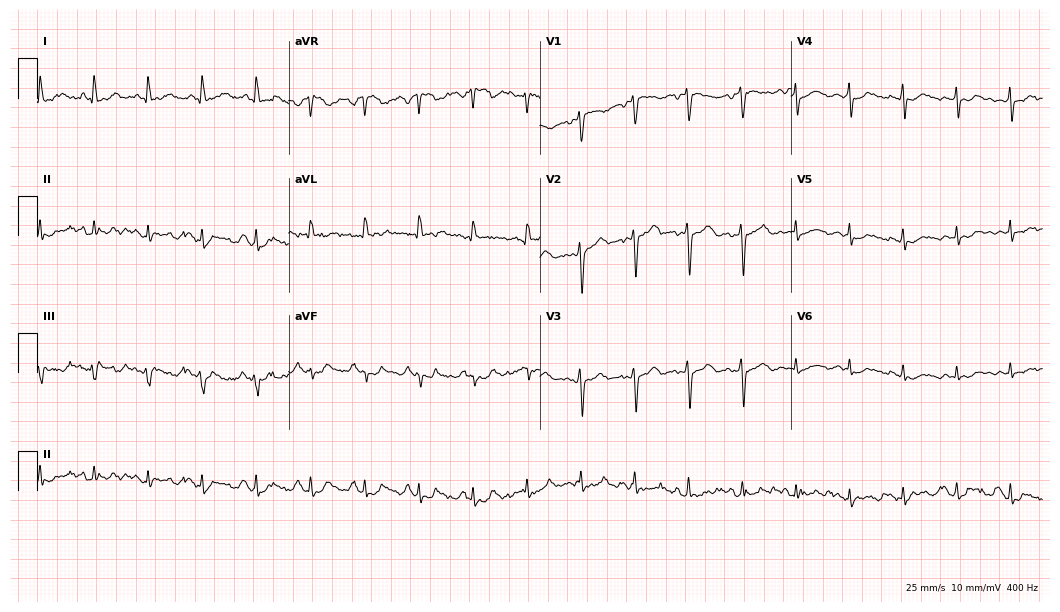
Resting 12-lead electrocardiogram (10.2-second recording at 400 Hz). Patient: a female, 57 years old. The tracing shows sinus tachycardia (a sinus rate of 100 beats per minute or more).